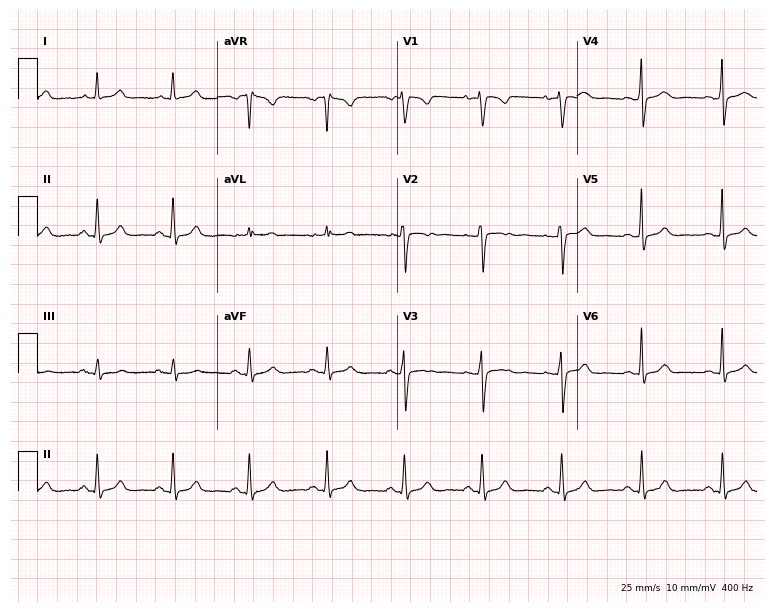
ECG — a female patient, 36 years old. Screened for six findings — first-degree AV block, right bundle branch block, left bundle branch block, sinus bradycardia, atrial fibrillation, sinus tachycardia — none is recorded. Other findings, if any, are not listed.